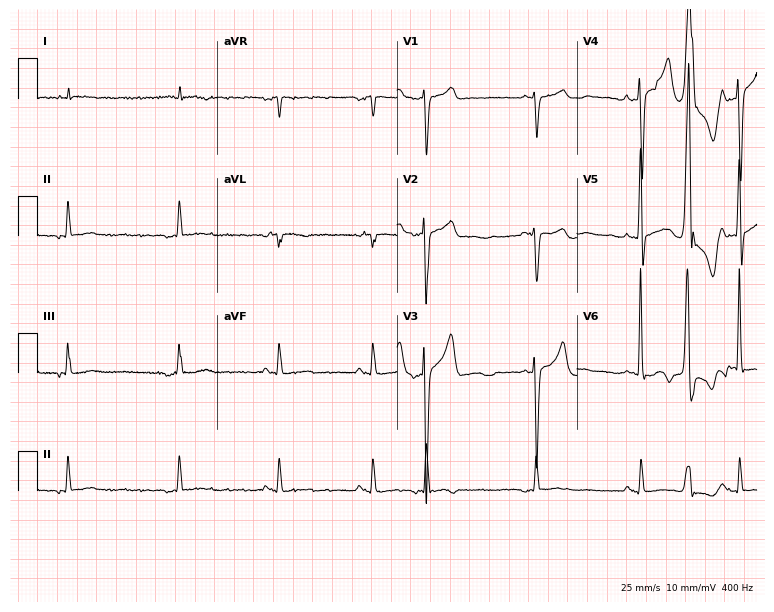
12-lead ECG (7.3-second recording at 400 Hz) from a 73-year-old man. Screened for six findings — first-degree AV block, right bundle branch block, left bundle branch block, sinus bradycardia, atrial fibrillation, sinus tachycardia — none is recorded. Only these six findings were labelled.